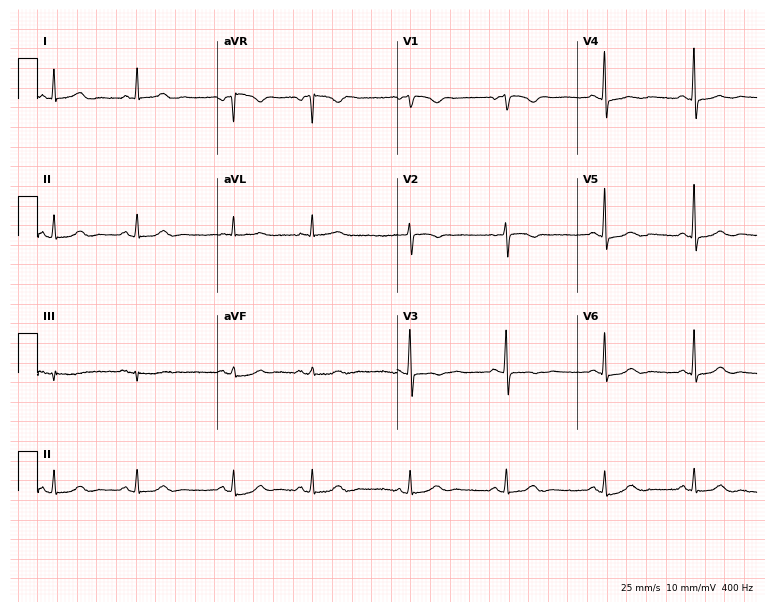
12-lead ECG from a woman, 73 years old. Labelled as a normal ECG.